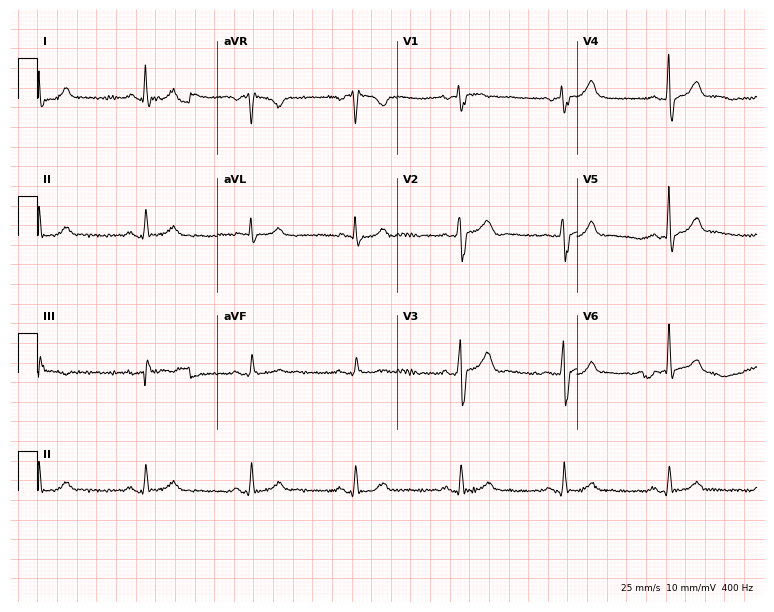
Electrocardiogram (7.3-second recording at 400 Hz), a male patient, 50 years old. Overall reading on record: normal ECG.